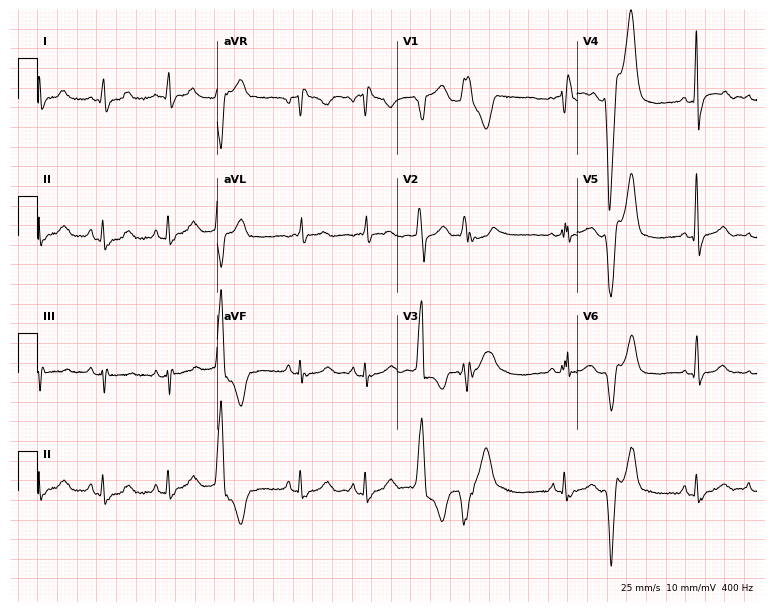
12-lead ECG from a female, 52 years old. No first-degree AV block, right bundle branch block, left bundle branch block, sinus bradycardia, atrial fibrillation or sinus tachycardia recorded for this tracing. Other findings, if any, are not listed.